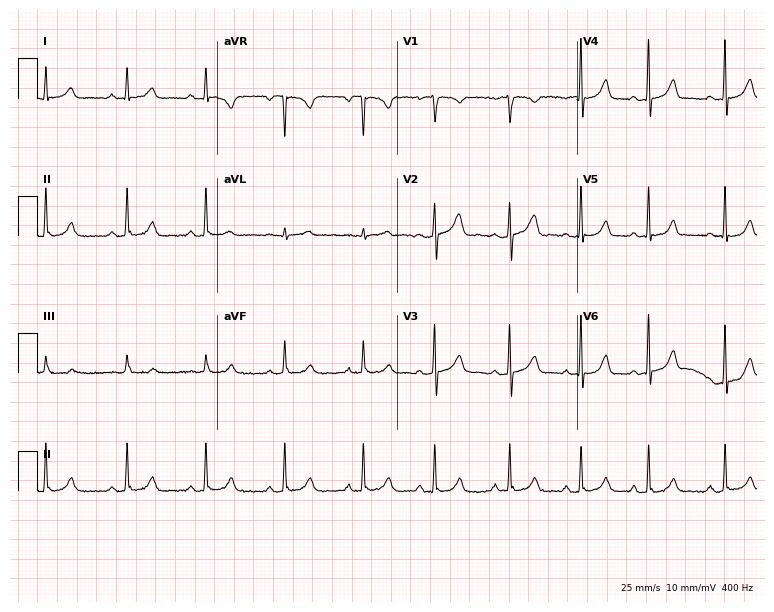
12-lead ECG from a female, 20 years old. Recorded interpretation: within normal limits.